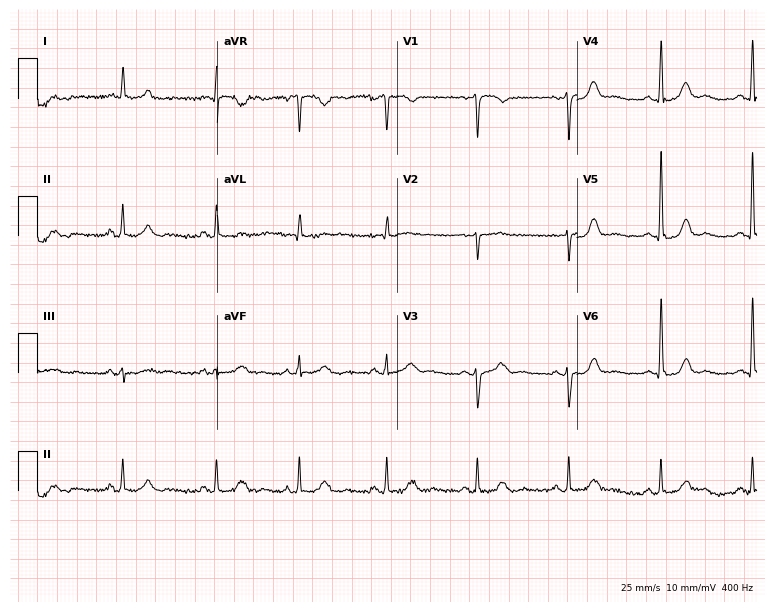
Resting 12-lead electrocardiogram (7.3-second recording at 400 Hz). Patient: a 75-year-old woman. Read as a normal ECG.